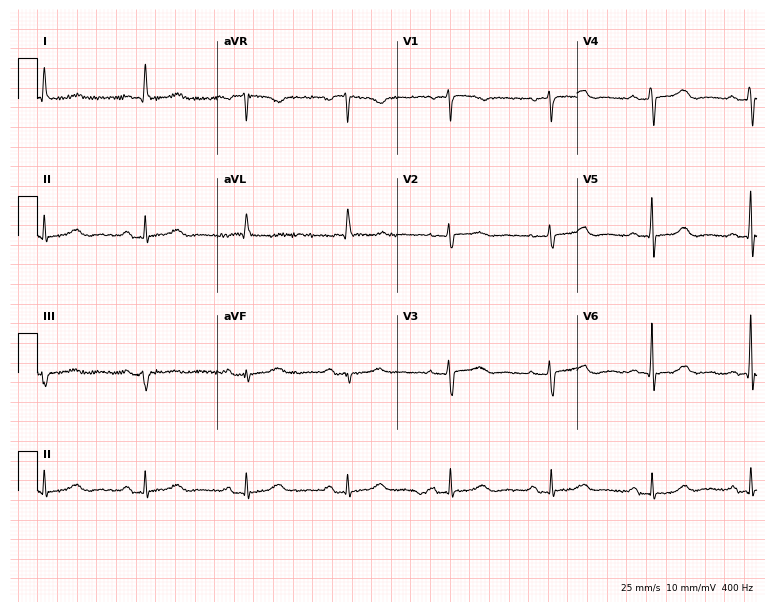
Resting 12-lead electrocardiogram. Patient: a woman, 81 years old. None of these six findings is recorded: first-degree AV block, right bundle branch block (RBBB), left bundle branch block (LBBB), sinus bradycardia, atrial fibrillation (AF), sinus tachycardia. Other findings, if any, are not listed.